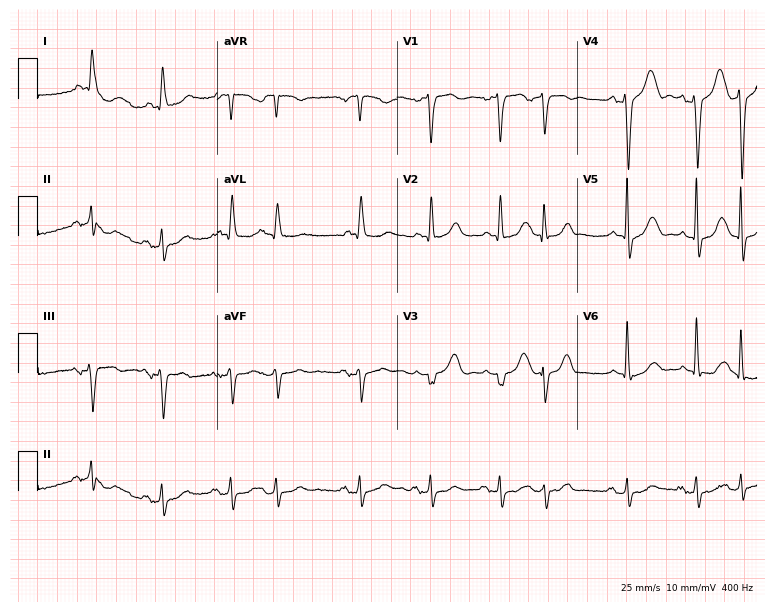
12-lead ECG (7.3-second recording at 400 Hz) from an 83-year-old man. Screened for six findings — first-degree AV block, right bundle branch block, left bundle branch block, sinus bradycardia, atrial fibrillation, sinus tachycardia — none is recorded.